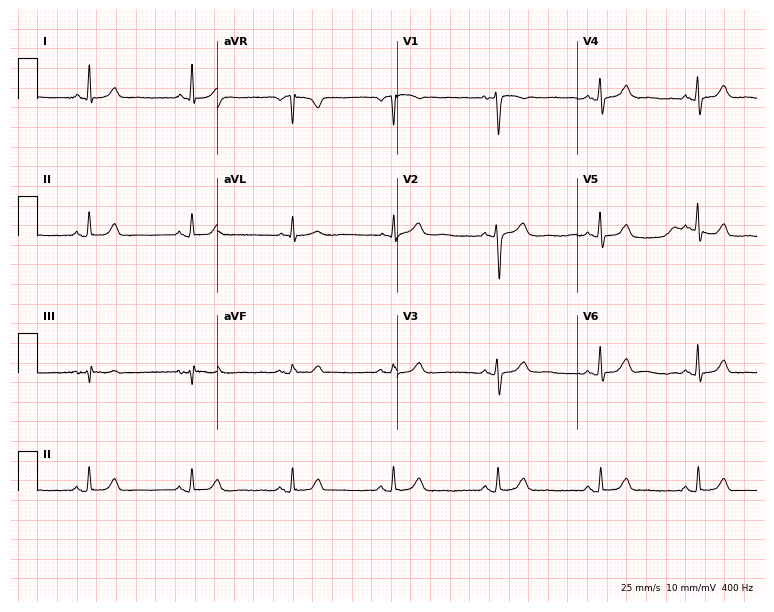
Resting 12-lead electrocardiogram (7.3-second recording at 400 Hz). Patient: a 63-year-old female. None of these six findings is recorded: first-degree AV block, right bundle branch block (RBBB), left bundle branch block (LBBB), sinus bradycardia, atrial fibrillation (AF), sinus tachycardia. Other findings, if any, are not listed.